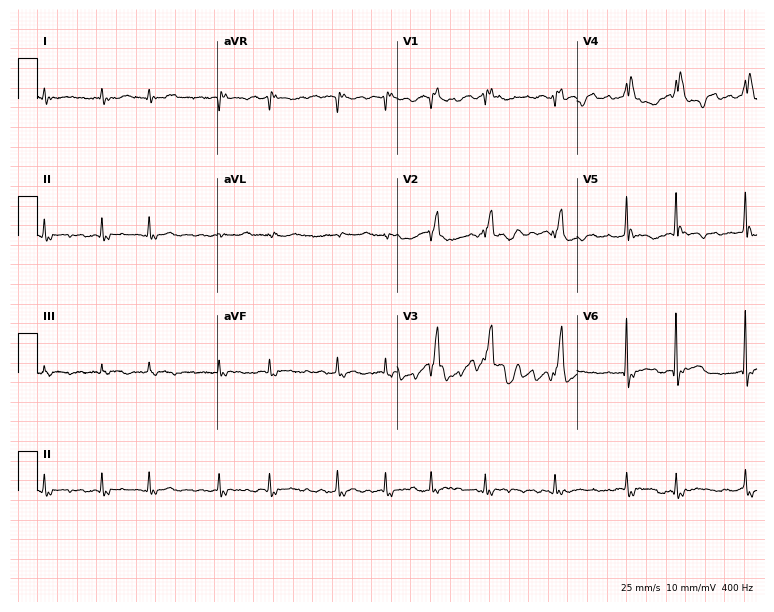
12-lead ECG (7.3-second recording at 400 Hz) from a 77-year-old female. Findings include right bundle branch block, atrial fibrillation.